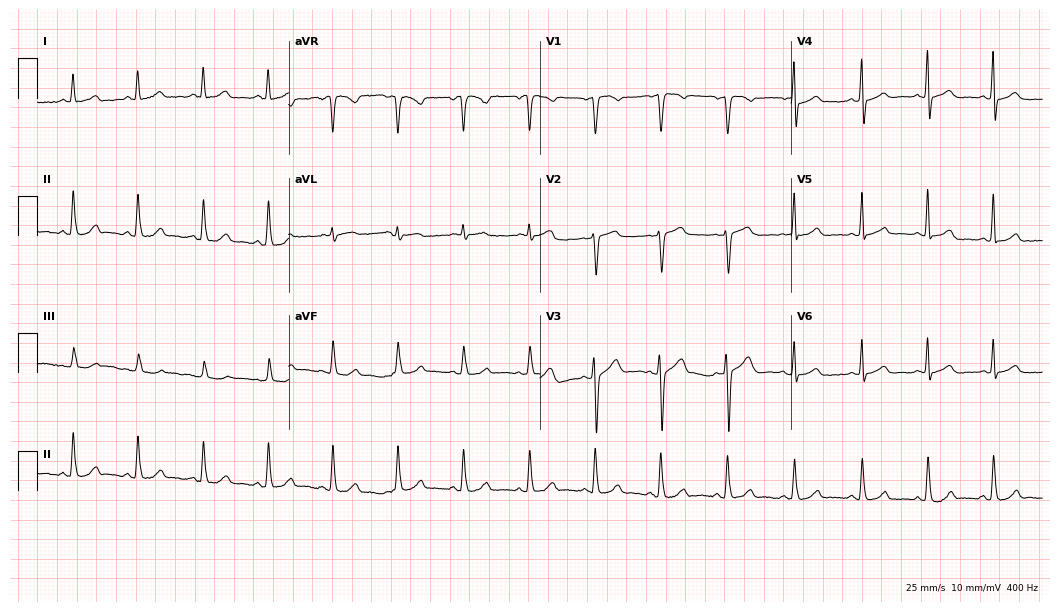
Electrocardiogram, a 48-year-old female. Overall reading on record: normal ECG.